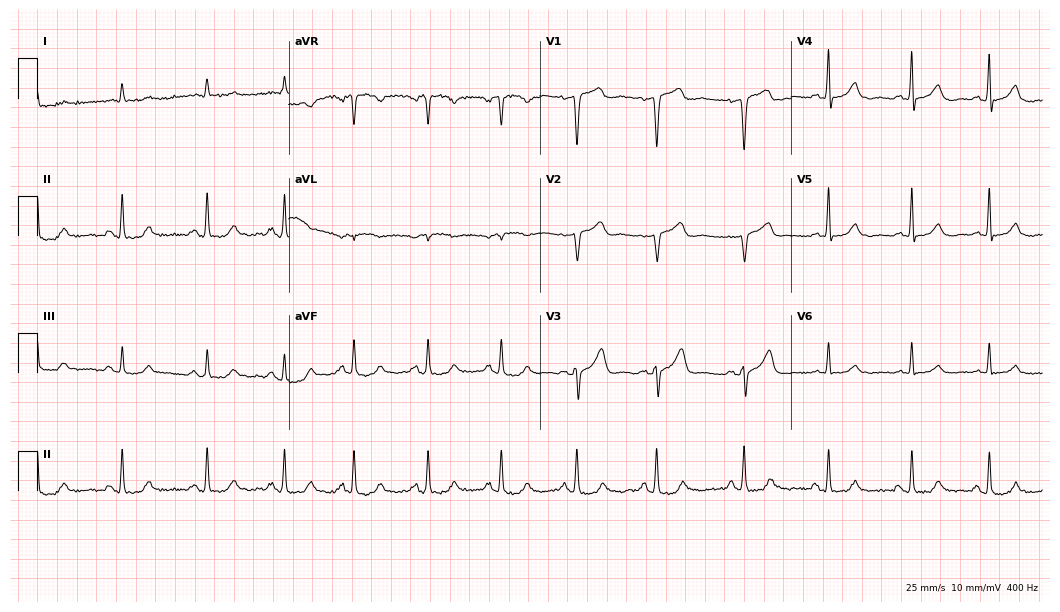
Electrocardiogram (10.2-second recording at 400 Hz), a 57-year-old female. Of the six screened findings (first-degree AV block, right bundle branch block, left bundle branch block, sinus bradycardia, atrial fibrillation, sinus tachycardia), none is recorded.